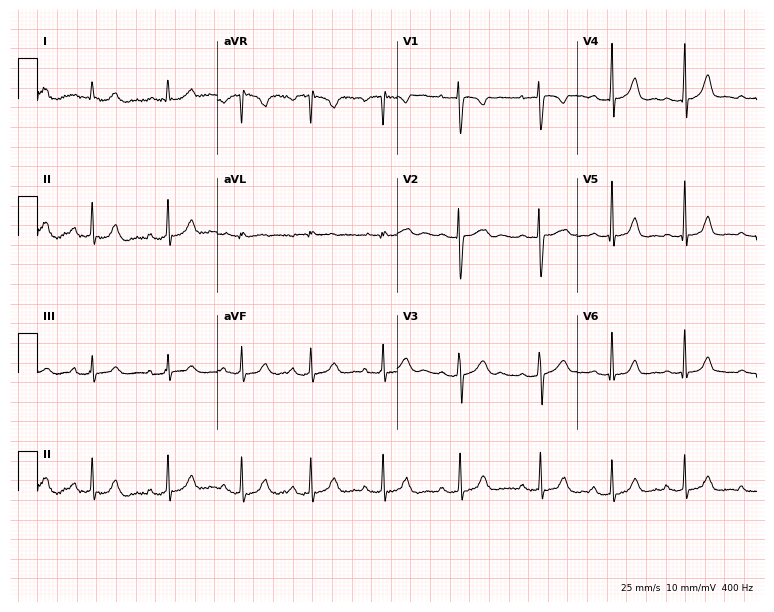
Resting 12-lead electrocardiogram (7.3-second recording at 400 Hz). Patient: a 21-year-old female. Read as a normal ECG.